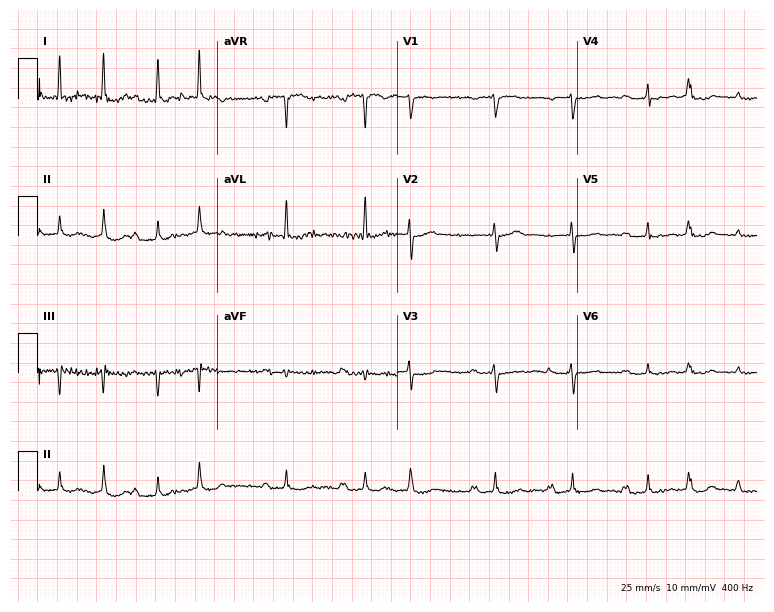
ECG (7.3-second recording at 400 Hz) — a female patient, 79 years old. Screened for six findings — first-degree AV block, right bundle branch block (RBBB), left bundle branch block (LBBB), sinus bradycardia, atrial fibrillation (AF), sinus tachycardia — none is recorded. Other findings, if any, are not listed.